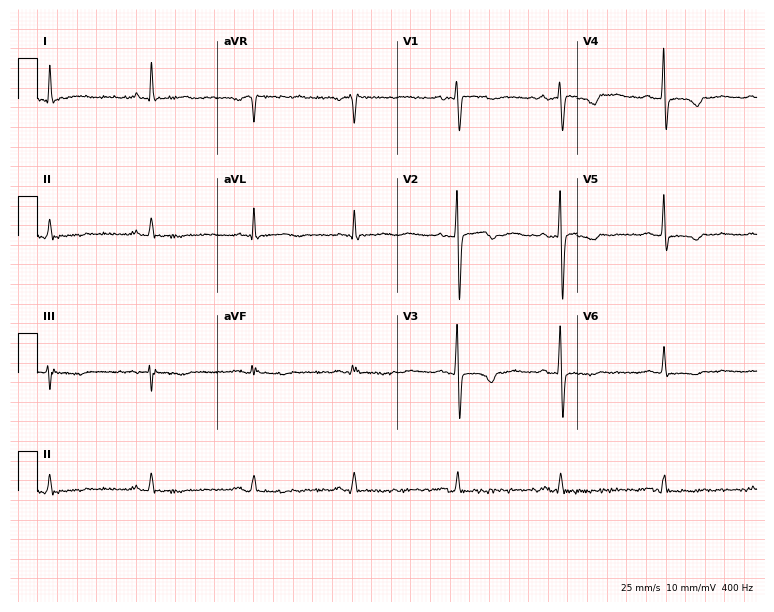
Electrocardiogram, a female patient, 59 years old. Overall reading on record: normal ECG.